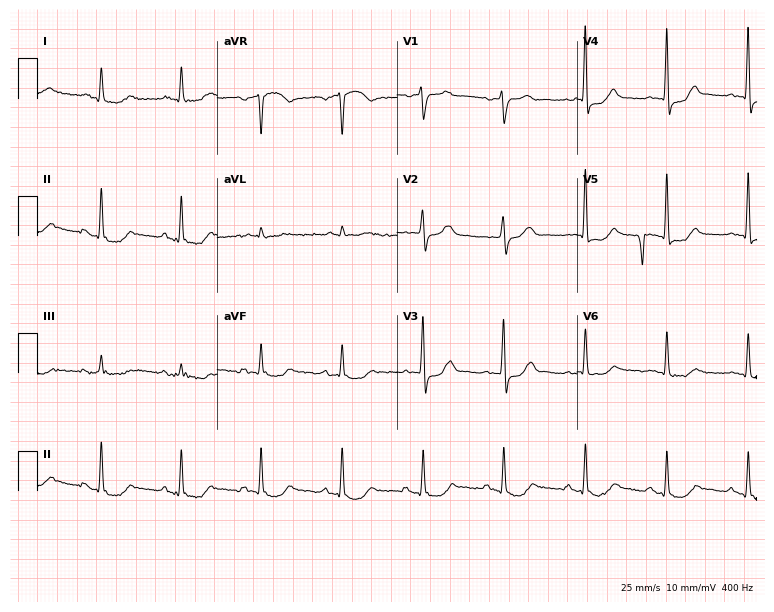
ECG (7.3-second recording at 400 Hz) — a male, 74 years old. Screened for six findings — first-degree AV block, right bundle branch block, left bundle branch block, sinus bradycardia, atrial fibrillation, sinus tachycardia — none is recorded. Only these six findings were labelled.